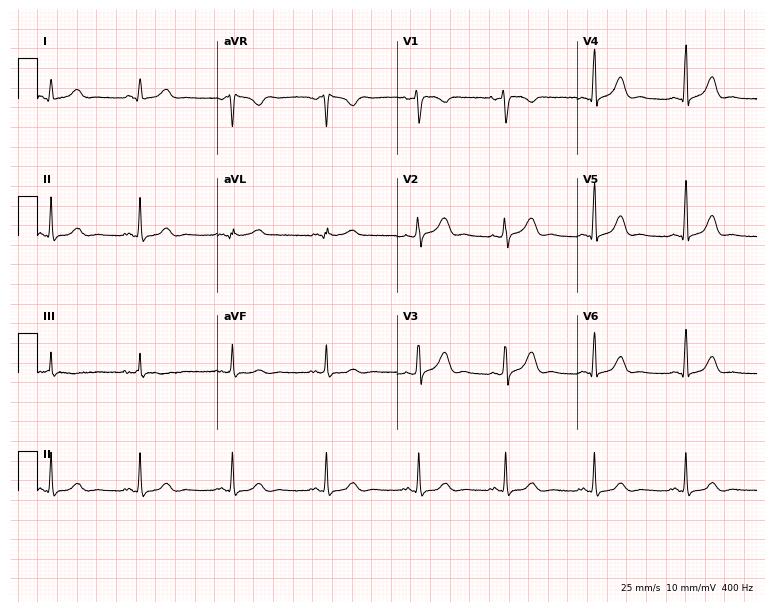
Electrocardiogram (7.3-second recording at 400 Hz), a female patient, 45 years old. Overall reading on record: normal ECG.